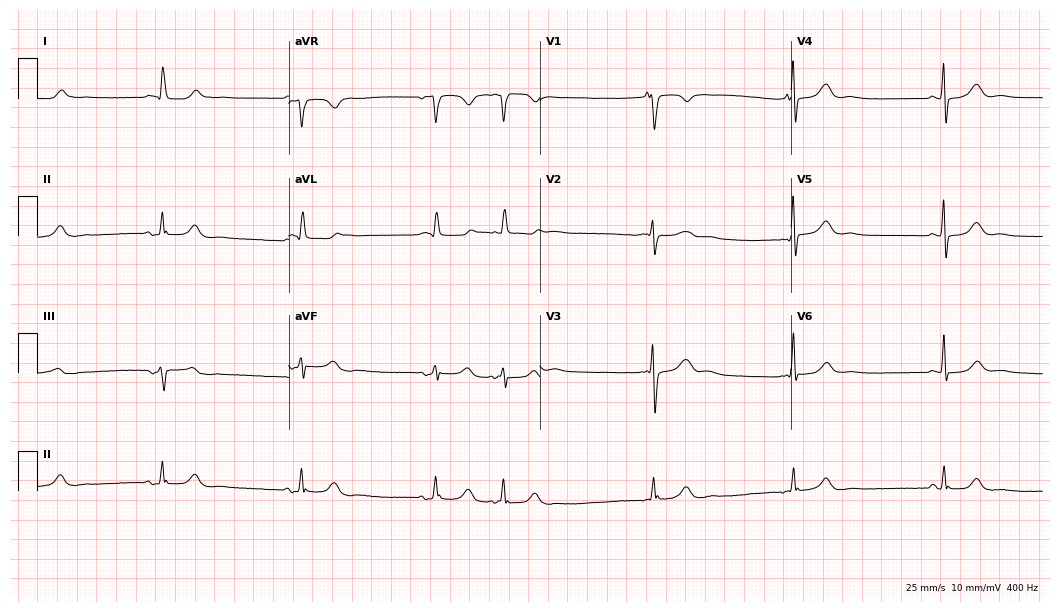
Standard 12-lead ECG recorded from a woman, 78 years old (10.2-second recording at 400 Hz). The tracing shows sinus bradycardia (a sinus rate of 50 beats per minute or less).